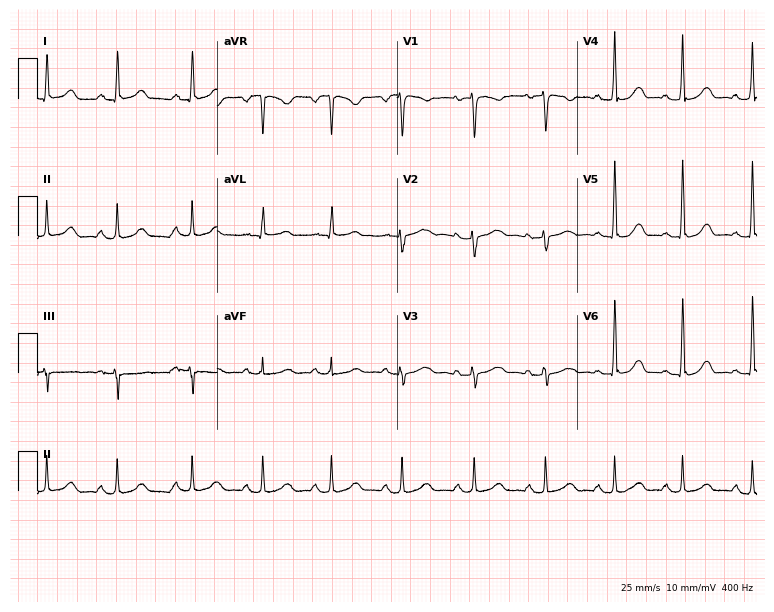
12-lead ECG from a female, 48 years old (7.3-second recording at 400 Hz). Recorded interpretation: within normal limits.